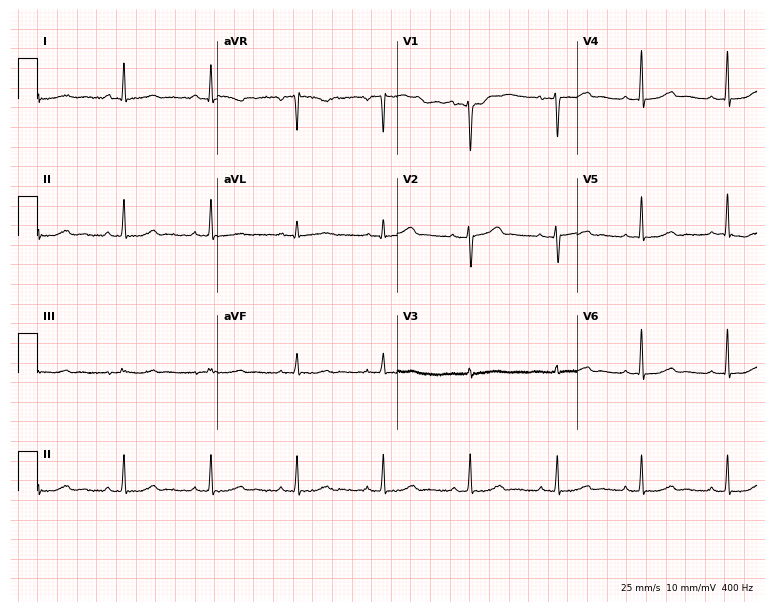
12-lead ECG from a 36-year-old woman. Screened for six findings — first-degree AV block, right bundle branch block, left bundle branch block, sinus bradycardia, atrial fibrillation, sinus tachycardia — none is recorded.